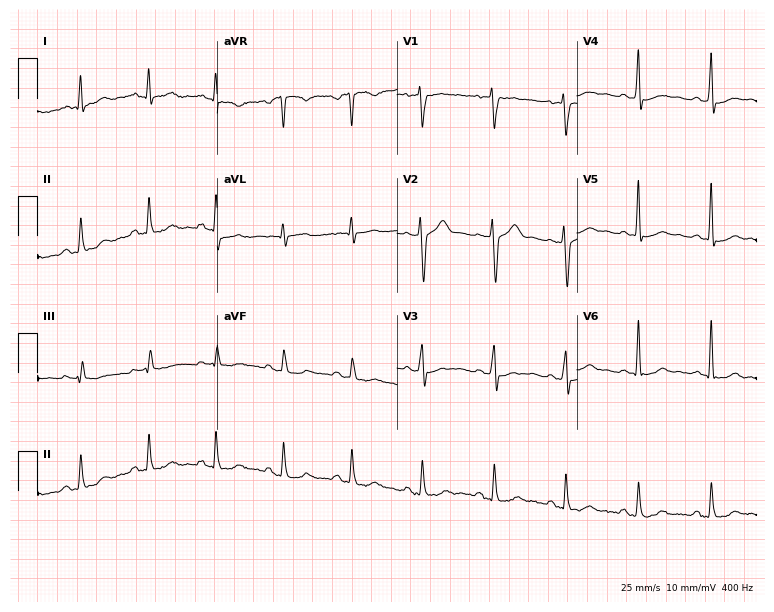
ECG — a 50-year-old woman. Screened for six findings — first-degree AV block, right bundle branch block, left bundle branch block, sinus bradycardia, atrial fibrillation, sinus tachycardia — none is recorded.